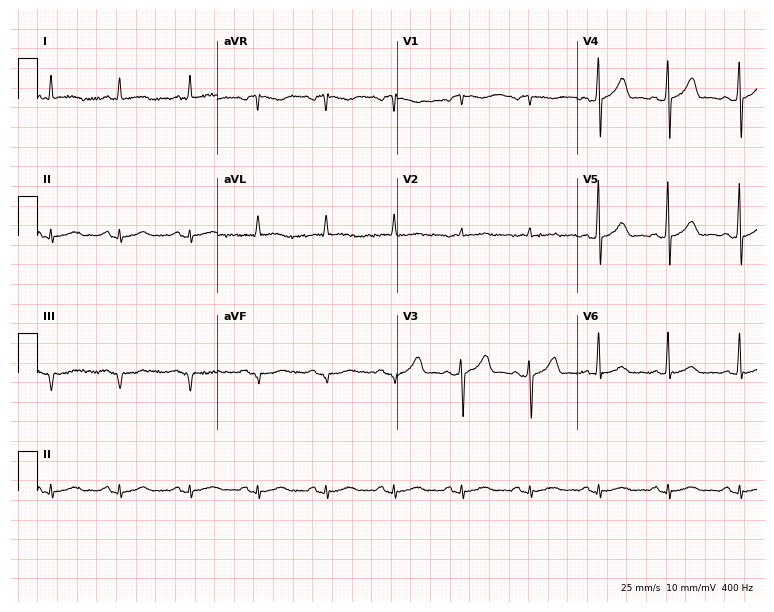
12-lead ECG from a 69-year-old male (7.3-second recording at 400 Hz). Recorded interpretation: within normal limits.